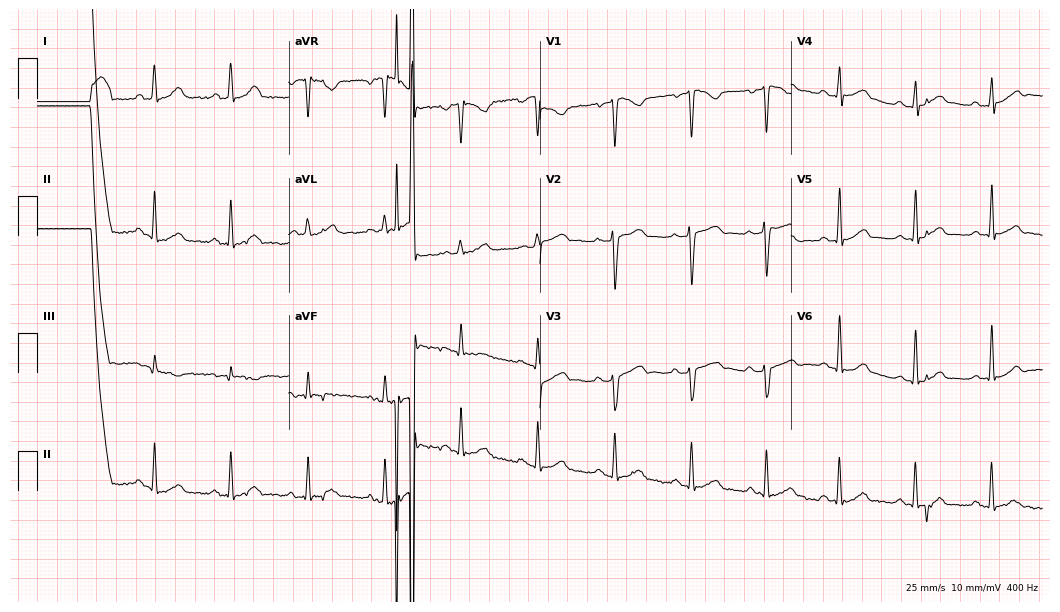
12-lead ECG from a 23-year-old male patient (10.2-second recording at 400 Hz). No first-degree AV block, right bundle branch block, left bundle branch block, sinus bradycardia, atrial fibrillation or sinus tachycardia recorded for this tracing.